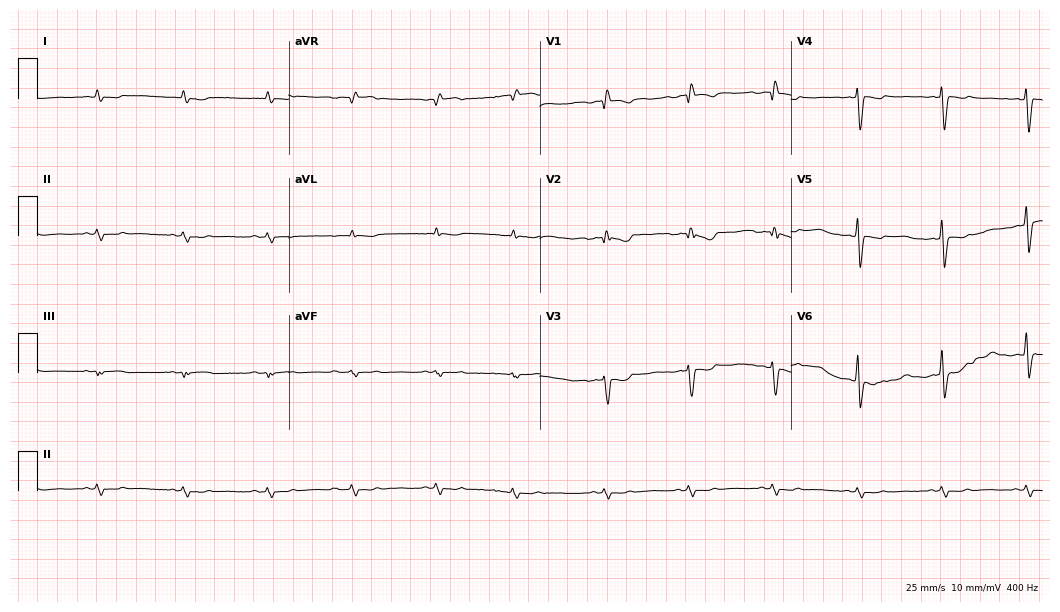
Resting 12-lead electrocardiogram (10.2-second recording at 400 Hz). Patient: a male, 67 years old. None of these six findings is recorded: first-degree AV block, right bundle branch block (RBBB), left bundle branch block (LBBB), sinus bradycardia, atrial fibrillation (AF), sinus tachycardia.